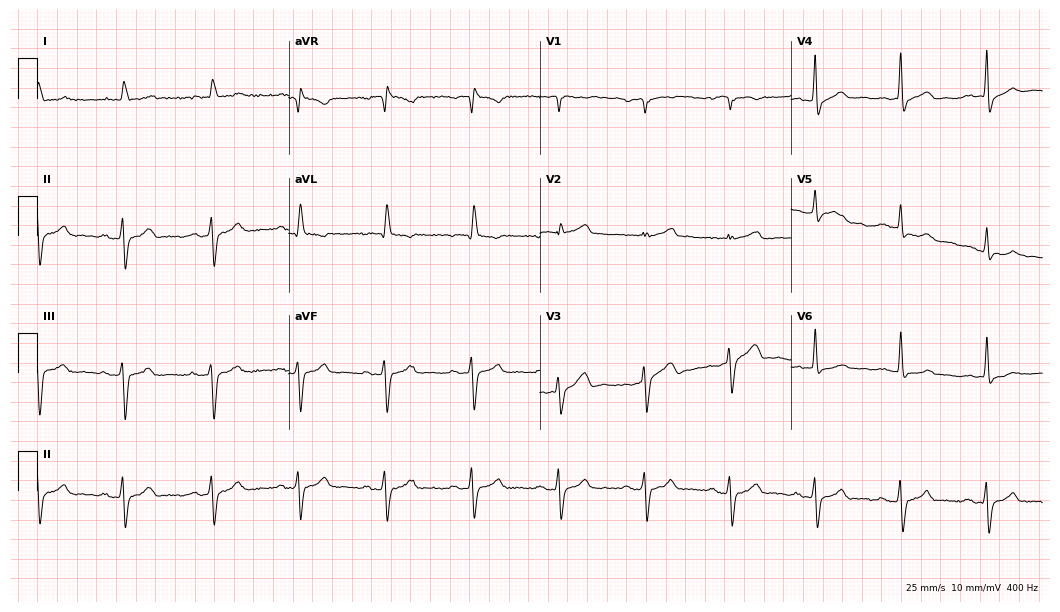
Electrocardiogram, a 73-year-old male. Of the six screened findings (first-degree AV block, right bundle branch block, left bundle branch block, sinus bradycardia, atrial fibrillation, sinus tachycardia), none is recorded. Only these six findings were labelled.